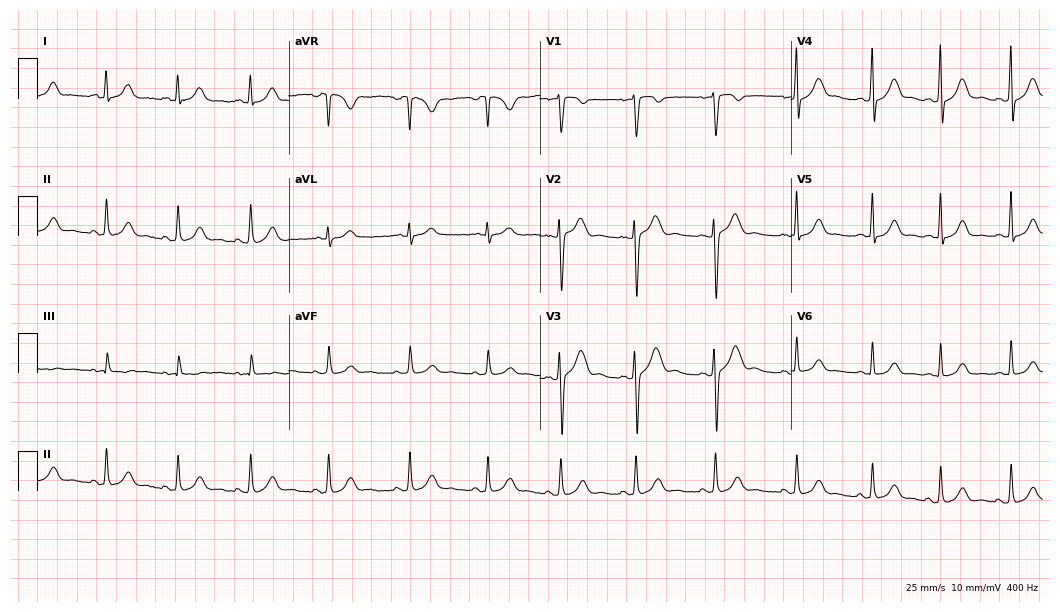
12-lead ECG (10.2-second recording at 400 Hz) from a woman, 26 years old. Labelled as a normal ECG.